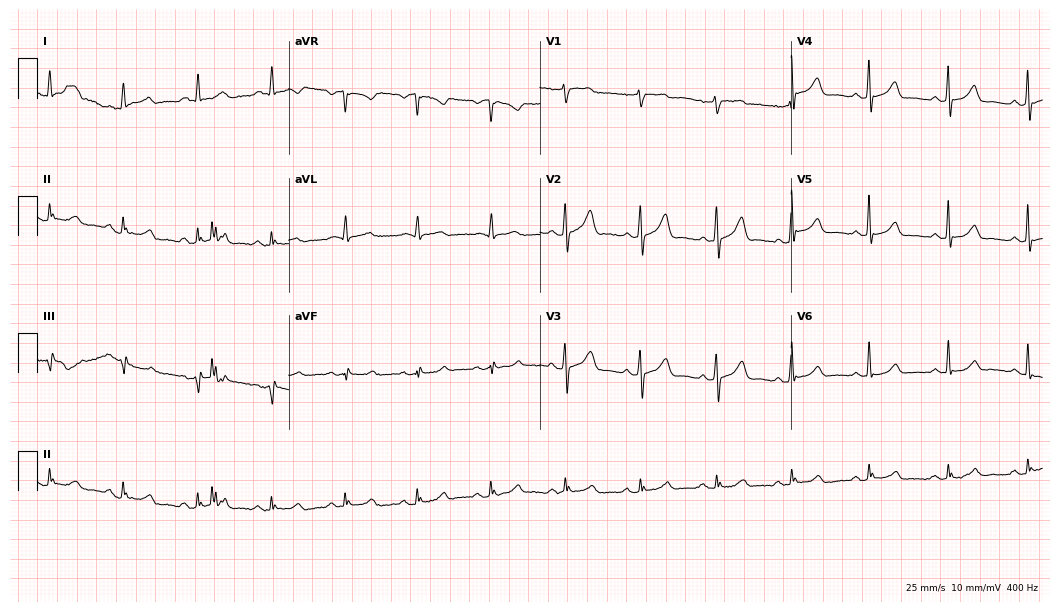
Electrocardiogram, a woman, 62 years old. Overall reading on record: normal ECG.